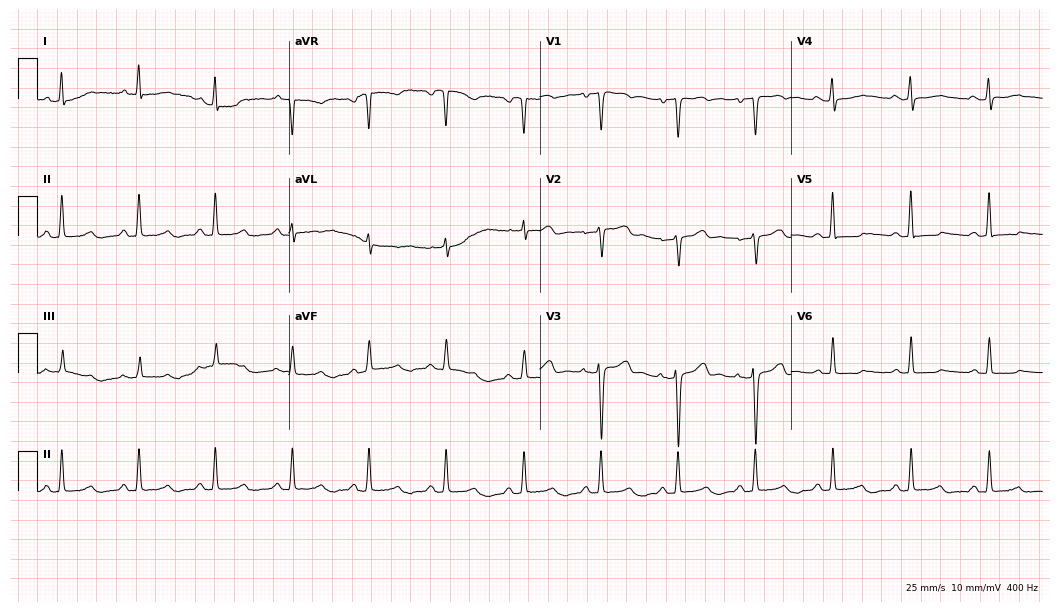
Standard 12-lead ECG recorded from a female, 50 years old. None of these six findings is recorded: first-degree AV block, right bundle branch block (RBBB), left bundle branch block (LBBB), sinus bradycardia, atrial fibrillation (AF), sinus tachycardia.